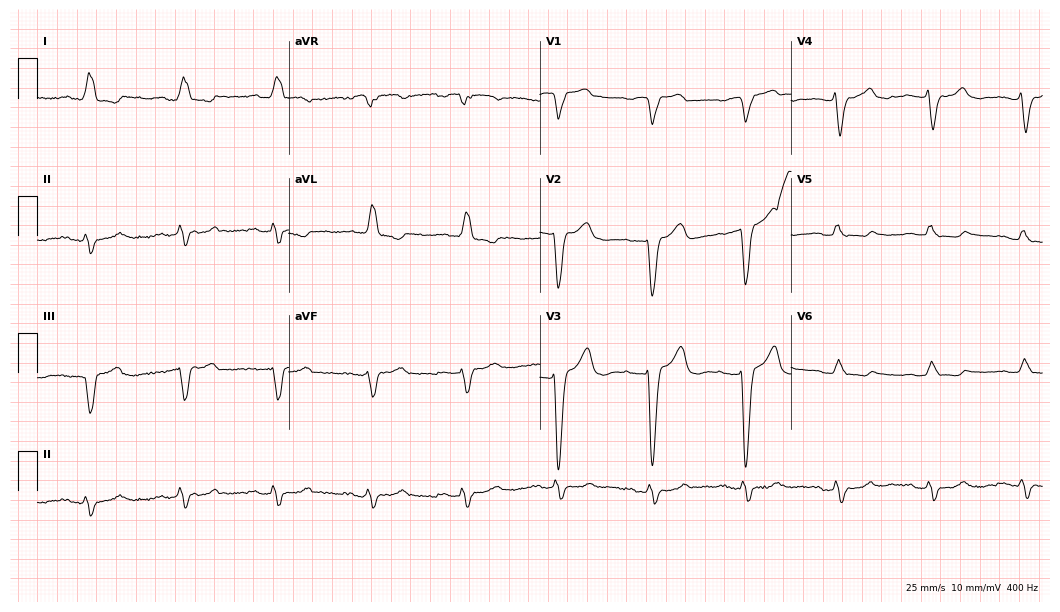
ECG (10.2-second recording at 400 Hz) — an 82-year-old woman. Screened for six findings — first-degree AV block, right bundle branch block (RBBB), left bundle branch block (LBBB), sinus bradycardia, atrial fibrillation (AF), sinus tachycardia — none is recorded.